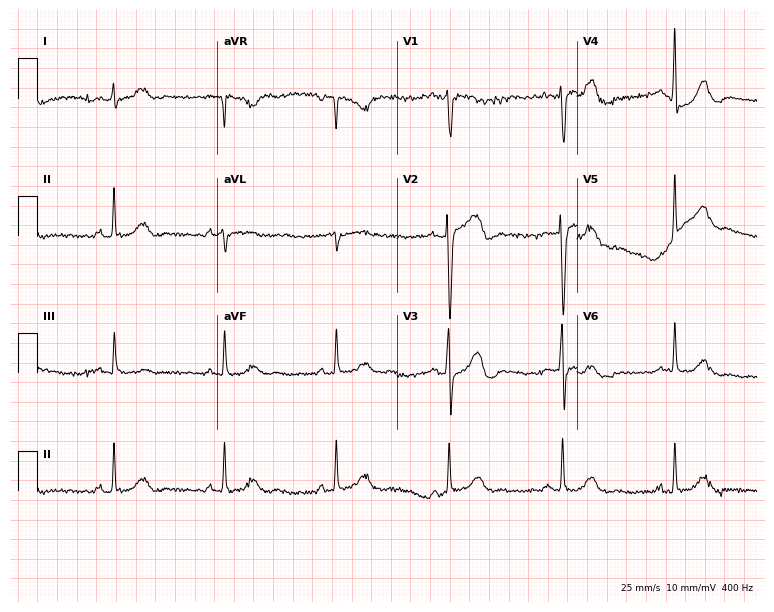
ECG — a 17-year-old male patient. Screened for six findings — first-degree AV block, right bundle branch block (RBBB), left bundle branch block (LBBB), sinus bradycardia, atrial fibrillation (AF), sinus tachycardia — none is recorded.